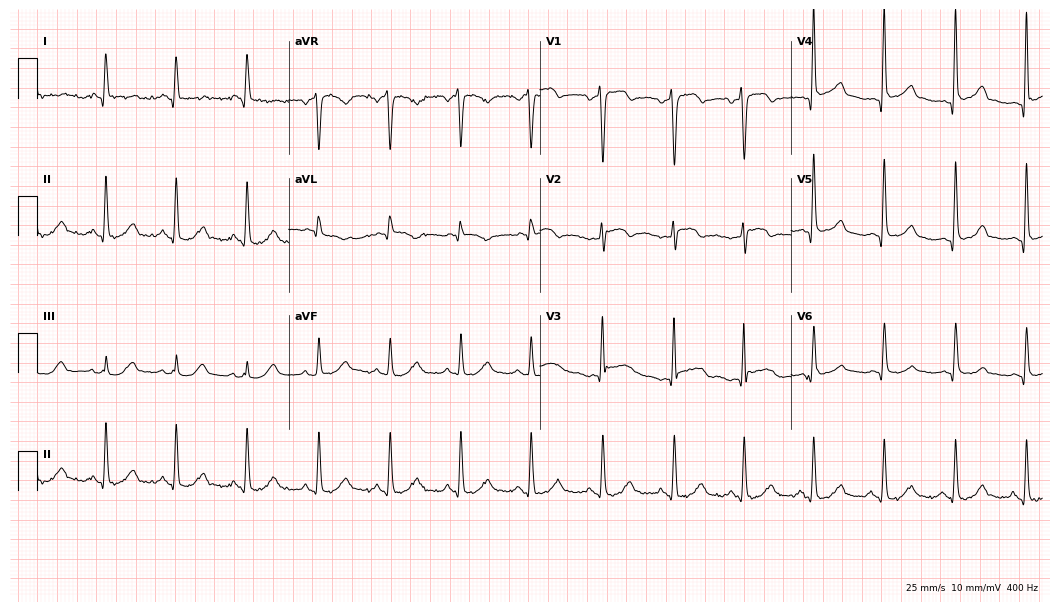
12-lead ECG from a woman, 44 years old. Screened for six findings — first-degree AV block, right bundle branch block (RBBB), left bundle branch block (LBBB), sinus bradycardia, atrial fibrillation (AF), sinus tachycardia — none is recorded.